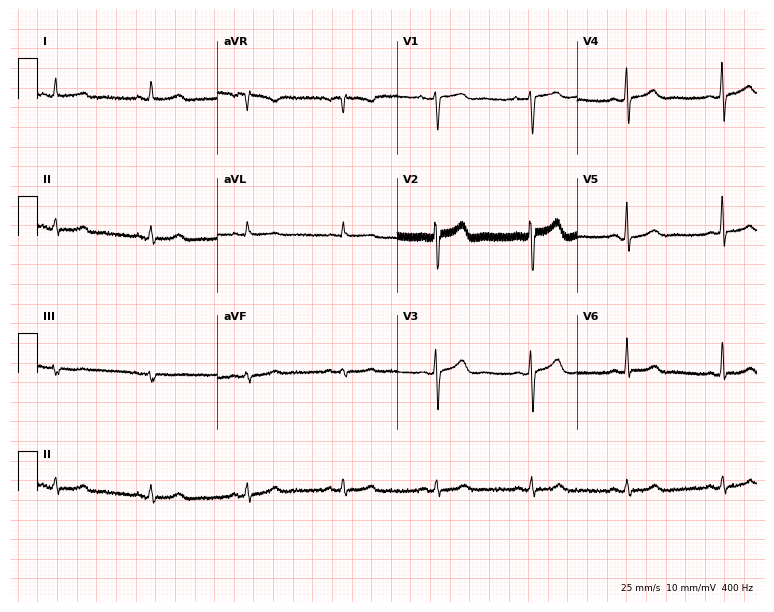
12-lead ECG from a female patient, 31 years old. No first-degree AV block, right bundle branch block, left bundle branch block, sinus bradycardia, atrial fibrillation or sinus tachycardia recorded for this tracing.